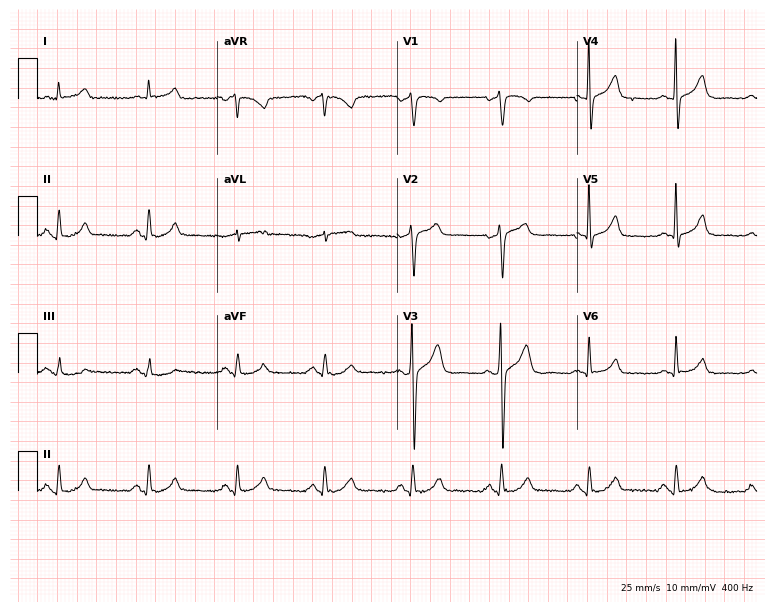
Electrocardiogram (7.3-second recording at 400 Hz), a 55-year-old male. Overall reading on record: normal ECG.